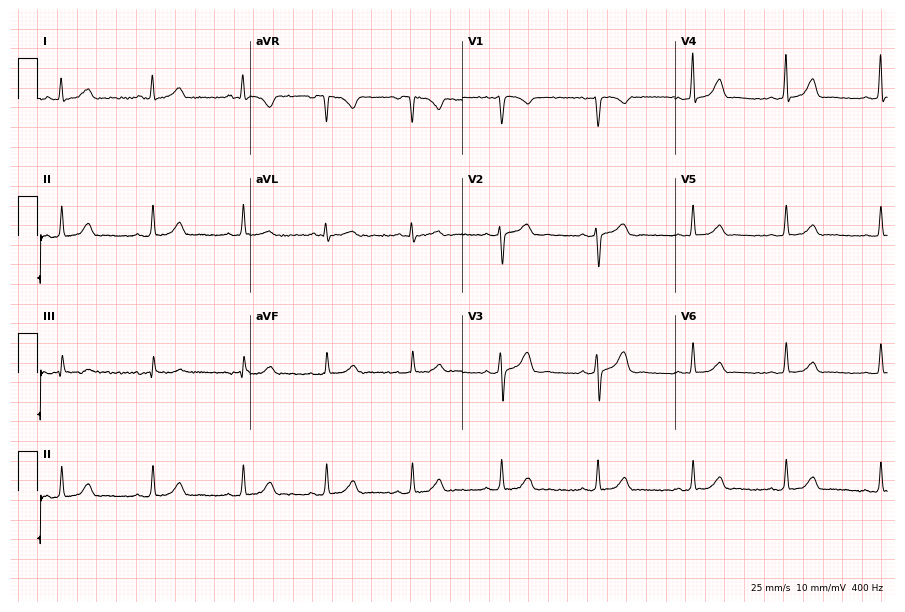
12-lead ECG (8.7-second recording at 400 Hz) from a woman, 41 years old. Labelled as a normal ECG.